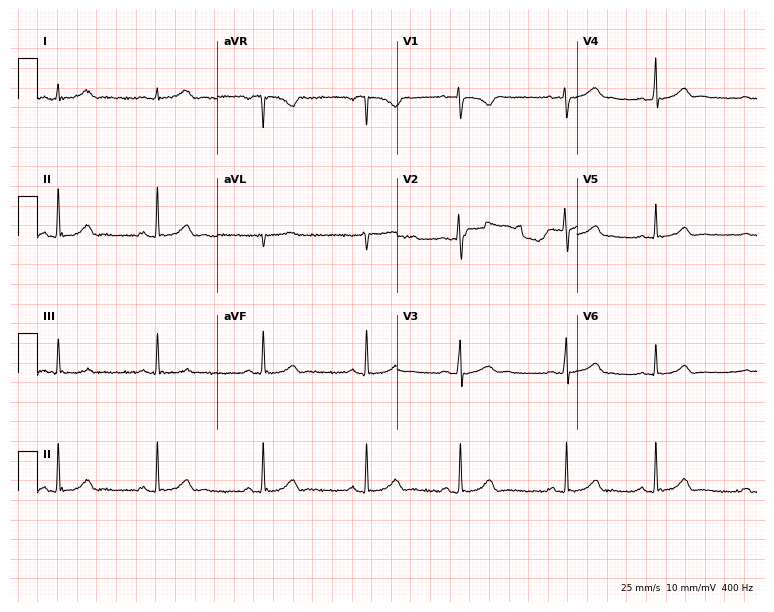
12-lead ECG (7.3-second recording at 400 Hz) from a woman, 28 years old. Labelled as a normal ECG.